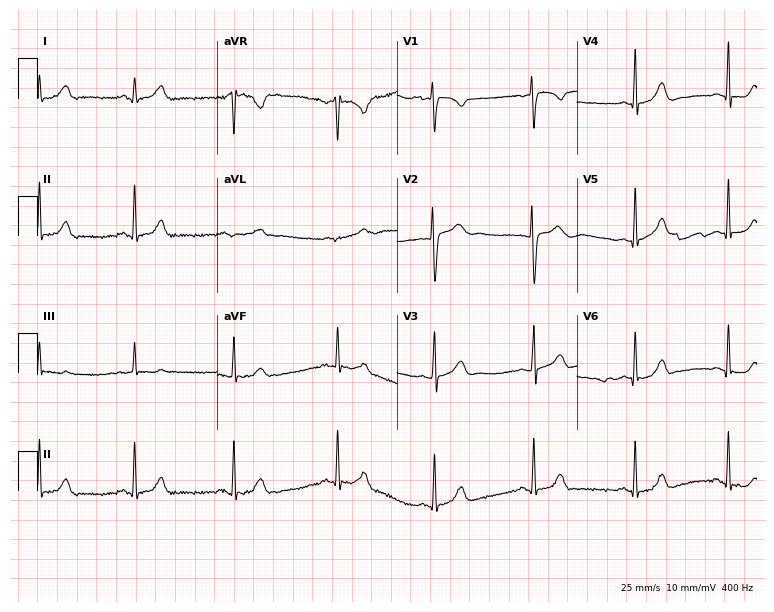
ECG — a female patient, 17 years old. Labelled as a normal ECG.